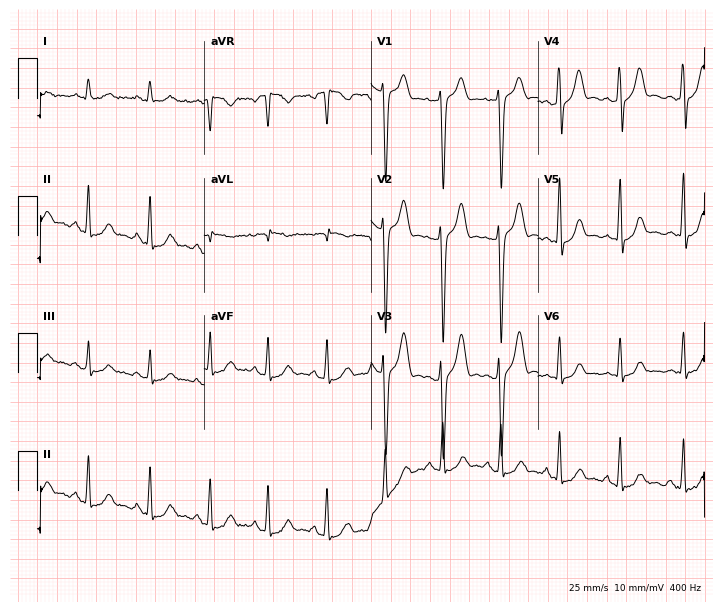
12-lead ECG (6.8-second recording at 400 Hz) from a man, 24 years old. Screened for six findings — first-degree AV block, right bundle branch block, left bundle branch block, sinus bradycardia, atrial fibrillation, sinus tachycardia — none is recorded. Only these six findings were labelled.